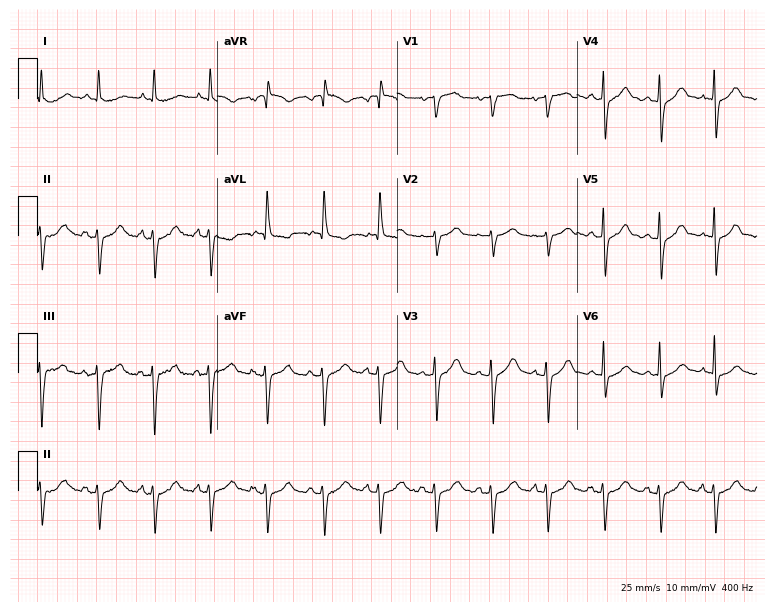
Standard 12-lead ECG recorded from an 82-year-old man (7.3-second recording at 400 Hz). The tracing shows sinus tachycardia (a sinus rate of 100 beats per minute or more).